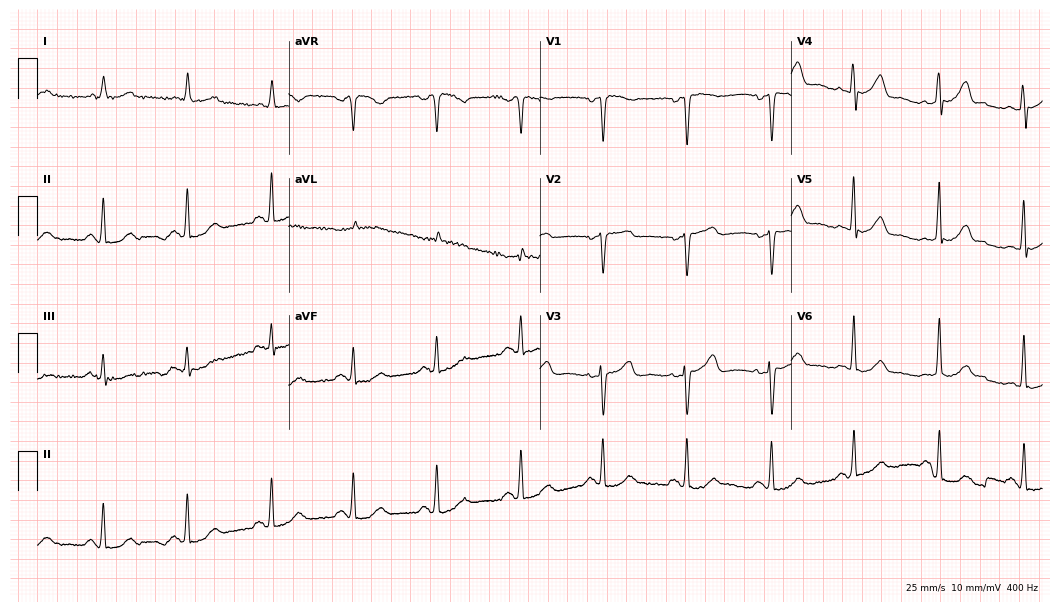
Resting 12-lead electrocardiogram. Patient: a woman, 72 years old. None of these six findings is recorded: first-degree AV block, right bundle branch block, left bundle branch block, sinus bradycardia, atrial fibrillation, sinus tachycardia.